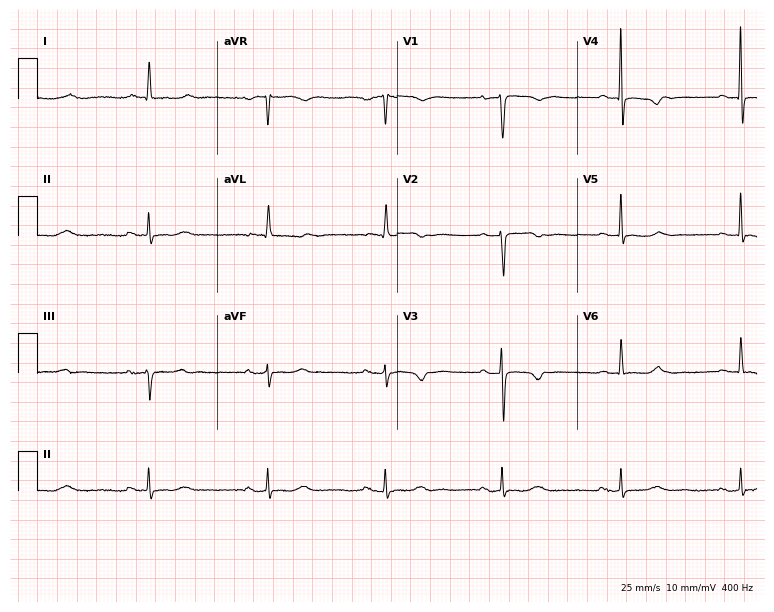
12-lead ECG from an 85-year-old female (7.3-second recording at 400 Hz). No first-degree AV block, right bundle branch block, left bundle branch block, sinus bradycardia, atrial fibrillation or sinus tachycardia recorded for this tracing. Only these six findings were labelled.